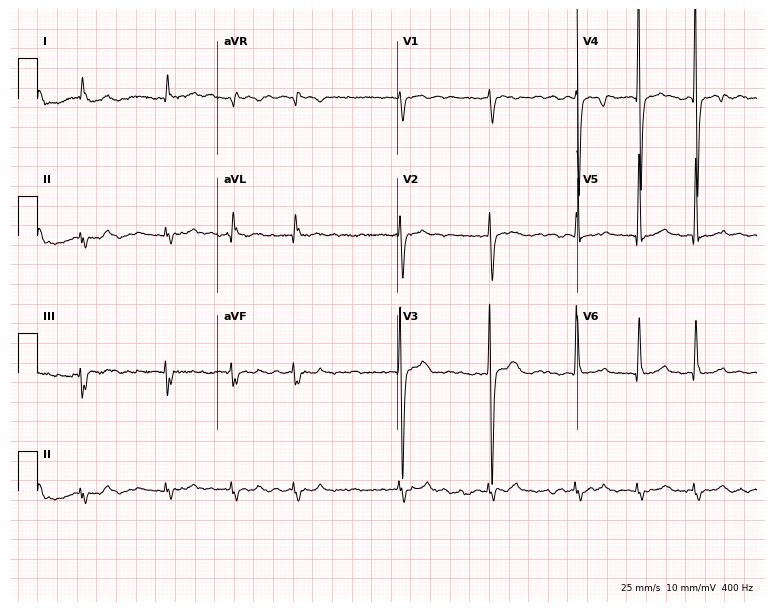
12-lead ECG from a 65-year-old male (7.3-second recording at 400 Hz). Shows atrial fibrillation.